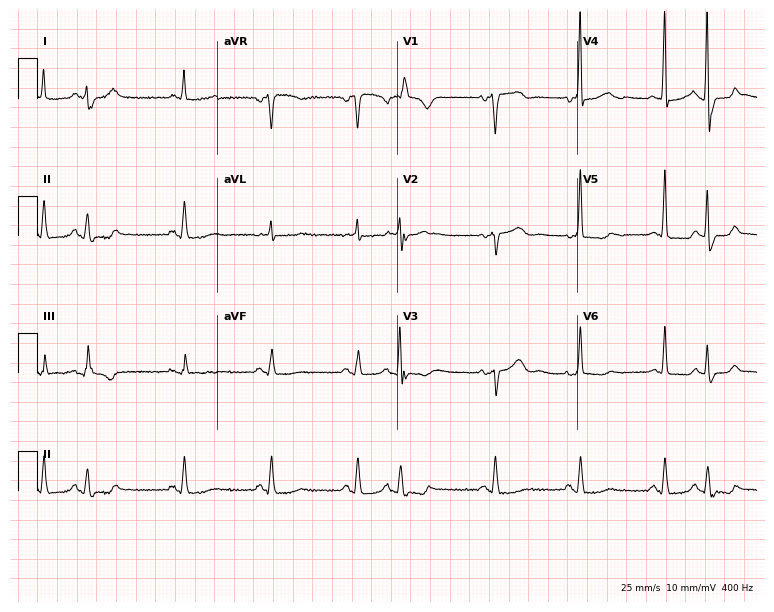
Standard 12-lead ECG recorded from a 71-year-old woman (7.3-second recording at 400 Hz). None of these six findings is recorded: first-degree AV block, right bundle branch block, left bundle branch block, sinus bradycardia, atrial fibrillation, sinus tachycardia. Other findings, if any, are not listed.